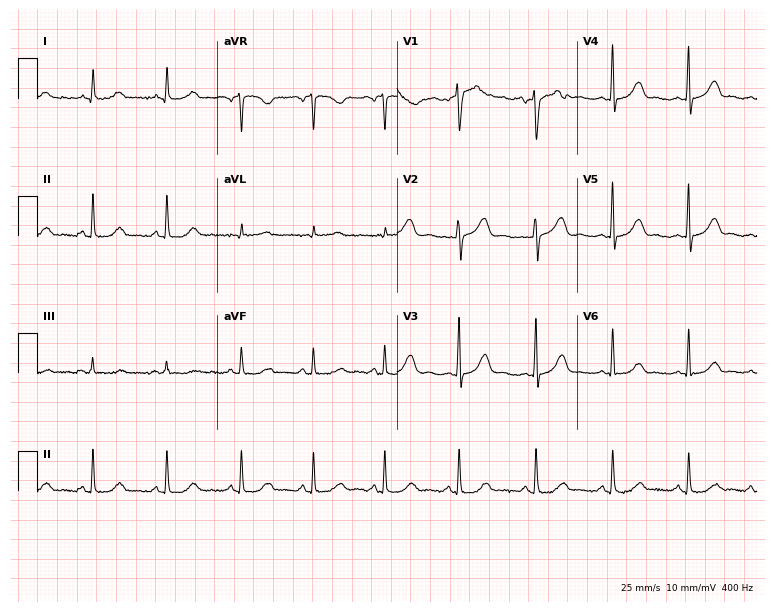
Standard 12-lead ECG recorded from a 52-year-old female (7.3-second recording at 400 Hz). None of these six findings is recorded: first-degree AV block, right bundle branch block (RBBB), left bundle branch block (LBBB), sinus bradycardia, atrial fibrillation (AF), sinus tachycardia. Findings outside these six are not listed.